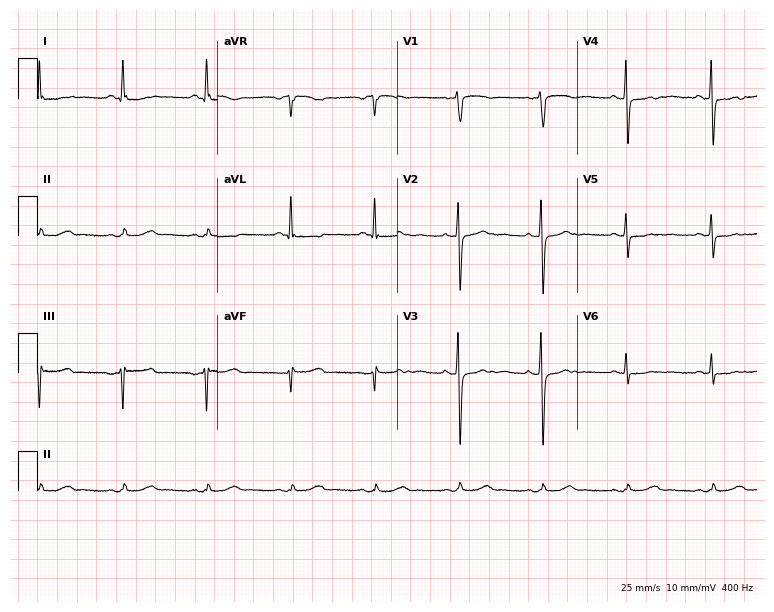
12-lead ECG (7.3-second recording at 400 Hz) from a 61-year-old woman. Screened for six findings — first-degree AV block, right bundle branch block, left bundle branch block, sinus bradycardia, atrial fibrillation, sinus tachycardia — none is recorded. Other findings, if any, are not listed.